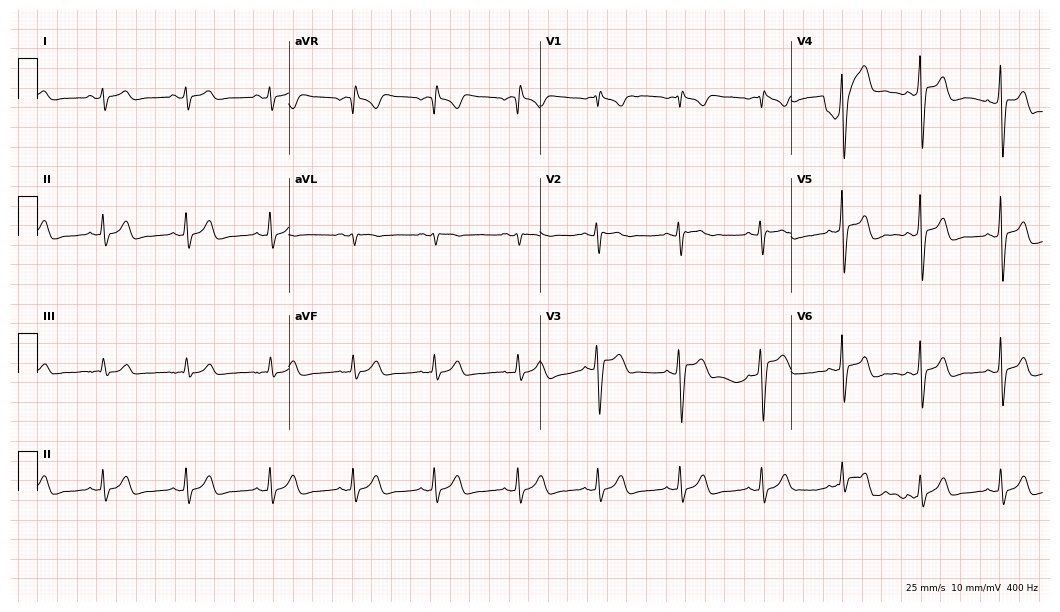
Standard 12-lead ECG recorded from a 32-year-old male (10.2-second recording at 400 Hz). None of these six findings is recorded: first-degree AV block, right bundle branch block, left bundle branch block, sinus bradycardia, atrial fibrillation, sinus tachycardia. Findings outside these six are not listed.